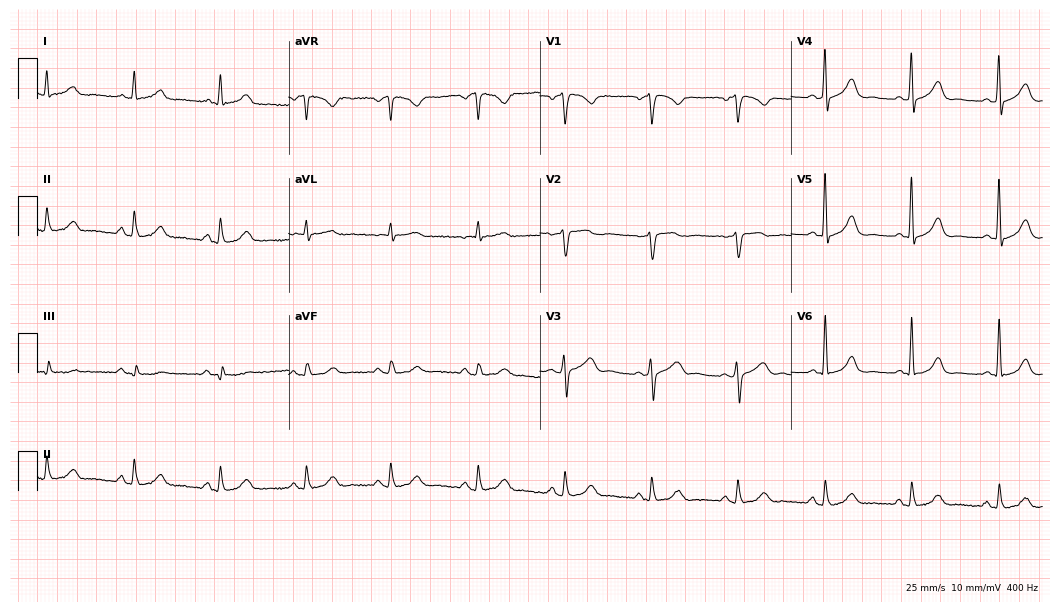
Resting 12-lead electrocardiogram. Patient: a 49-year-old woman. None of these six findings is recorded: first-degree AV block, right bundle branch block, left bundle branch block, sinus bradycardia, atrial fibrillation, sinus tachycardia.